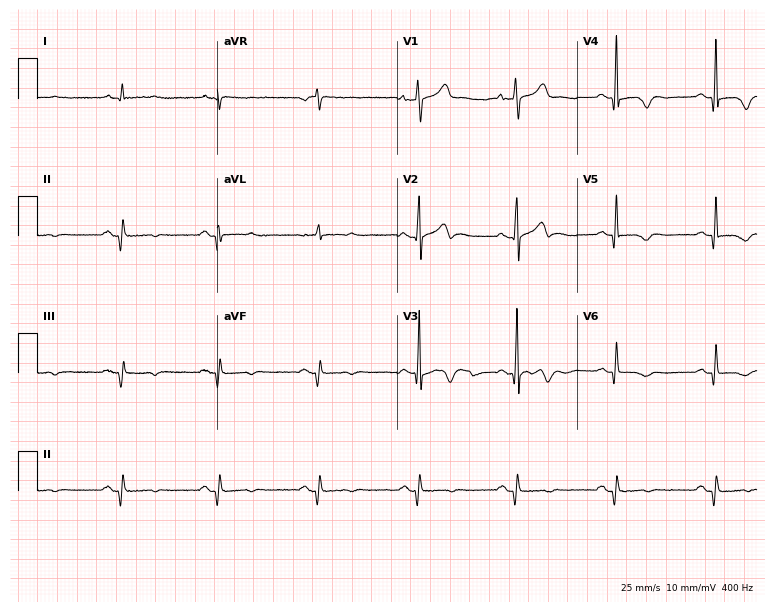
12-lead ECG from a 77-year-old male patient. No first-degree AV block, right bundle branch block (RBBB), left bundle branch block (LBBB), sinus bradycardia, atrial fibrillation (AF) or sinus tachycardia recorded for this tracing. Other findings, if any, are not listed.